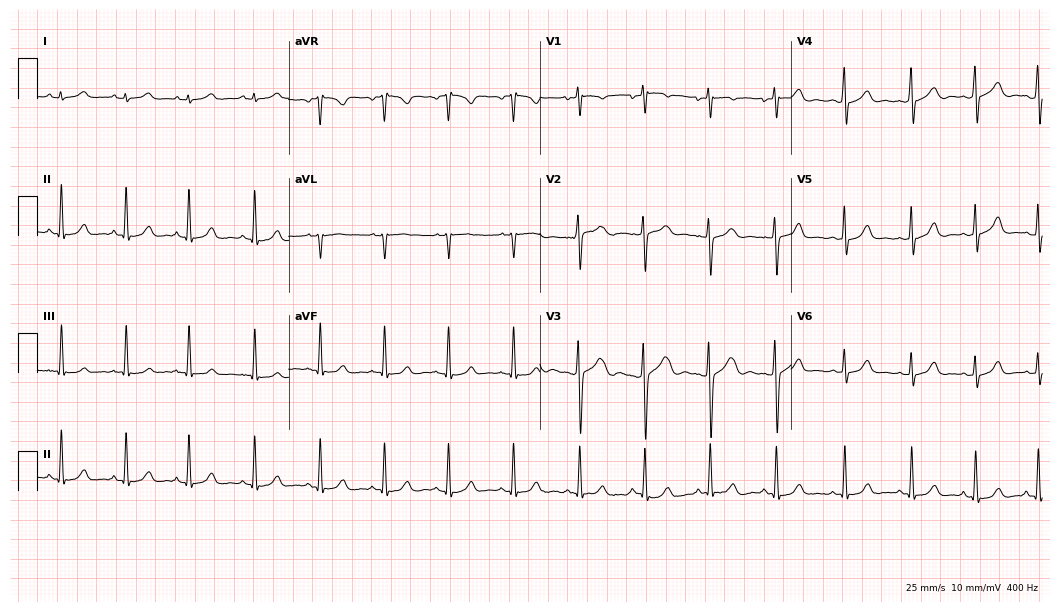
12-lead ECG from a 19-year-old female patient. Recorded interpretation: within normal limits.